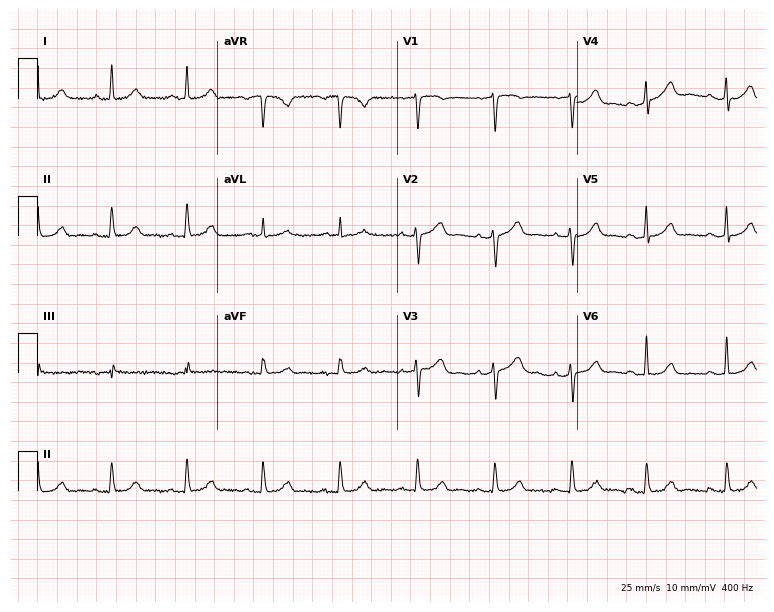
Resting 12-lead electrocardiogram (7.3-second recording at 400 Hz). Patient: a female, 79 years old. None of these six findings is recorded: first-degree AV block, right bundle branch block (RBBB), left bundle branch block (LBBB), sinus bradycardia, atrial fibrillation (AF), sinus tachycardia.